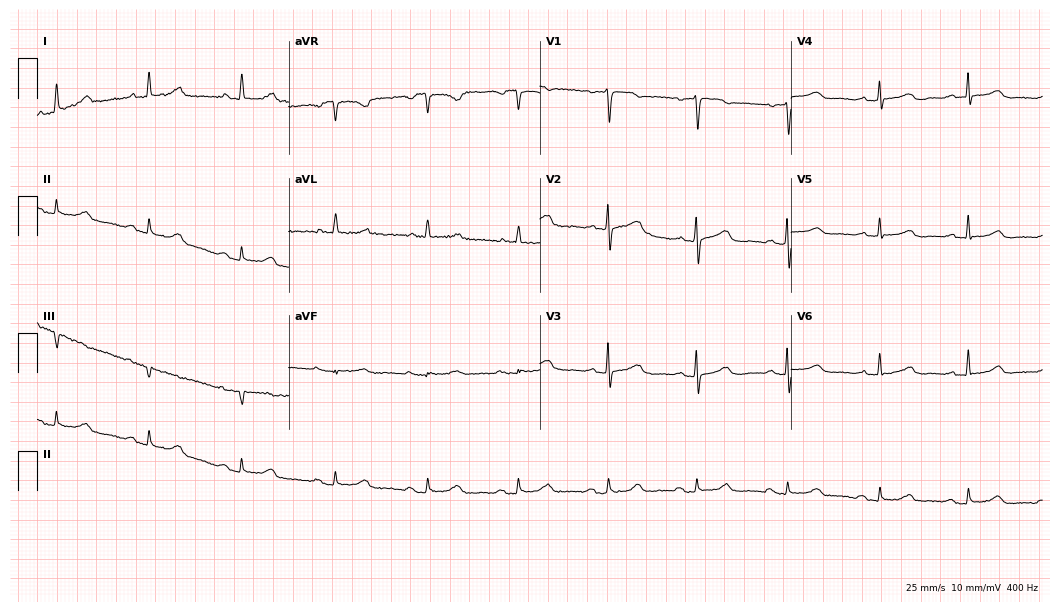
Resting 12-lead electrocardiogram (10.2-second recording at 400 Hz). Patient: a female, 77 years old. Read as a normal ECG.